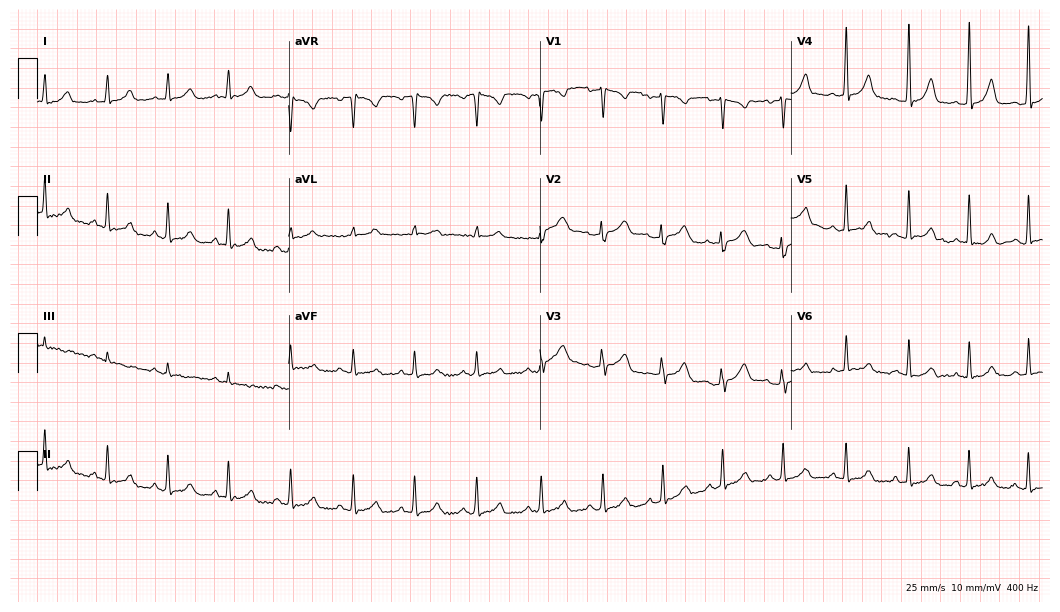
ECG — a 24-year-old female patient. Labelled as a normal ECG.